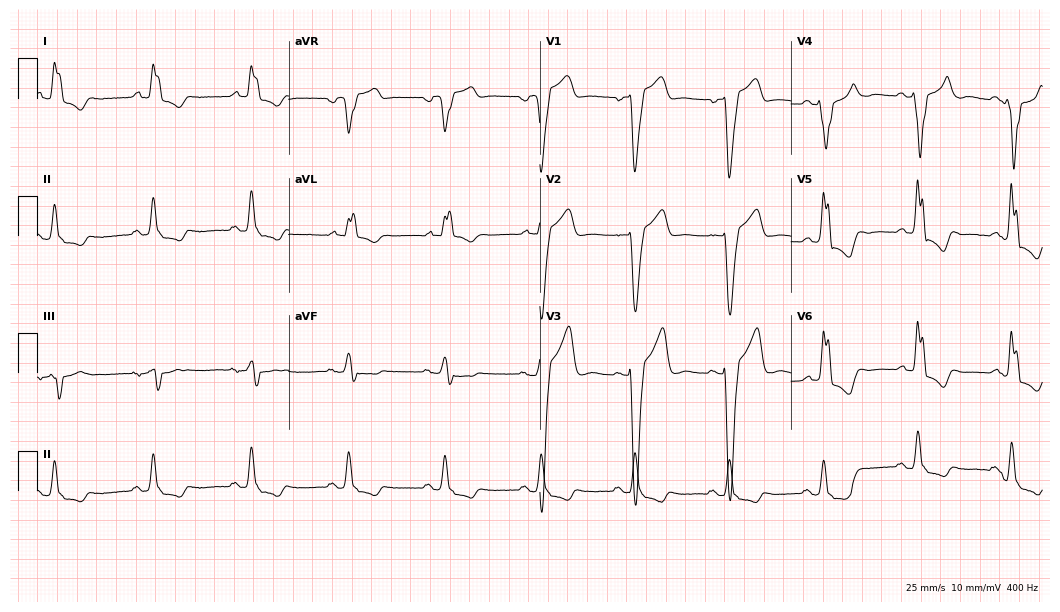
12-lead ECG (10.2-second recording at 400 Hz) from a 62-year-old male patient. Findings include left bundle branch block.